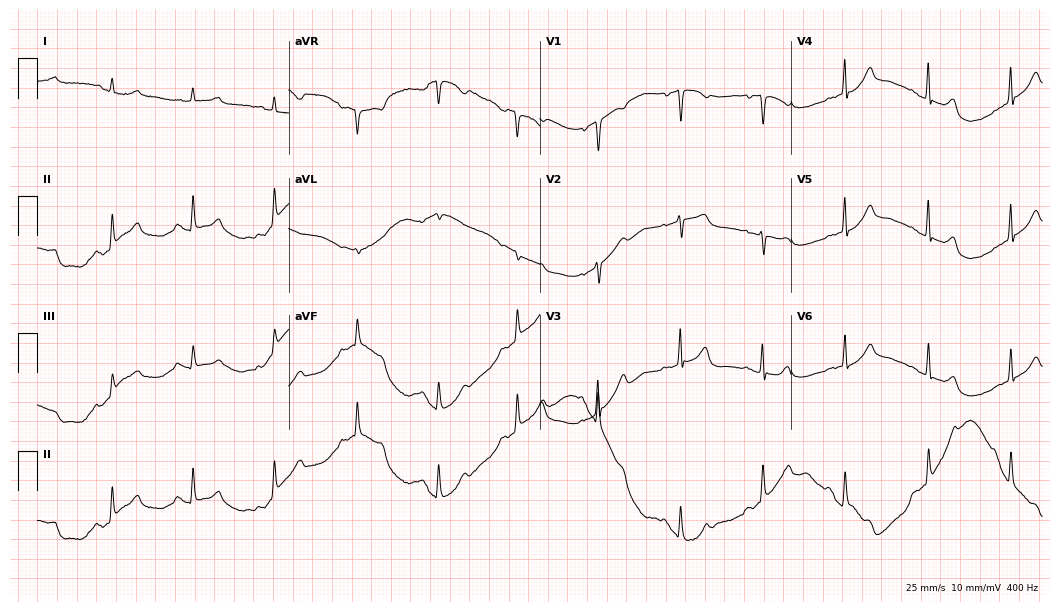
Standard 12-lead ECG recorded from an 85-year-old female patient. Read as a normal ECG.